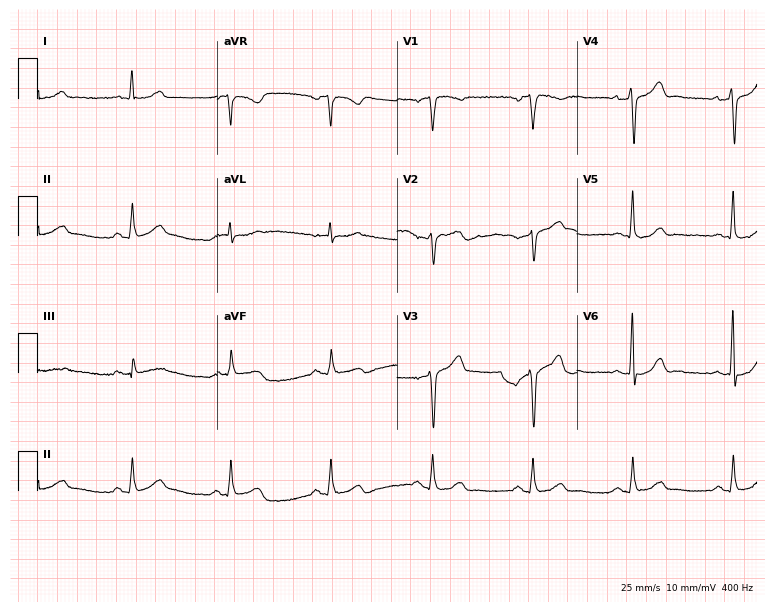
Electrocardiogram (7.3-second recording at 400 Hz), a man, 68 years old. Overall reading on record: normal ECG.